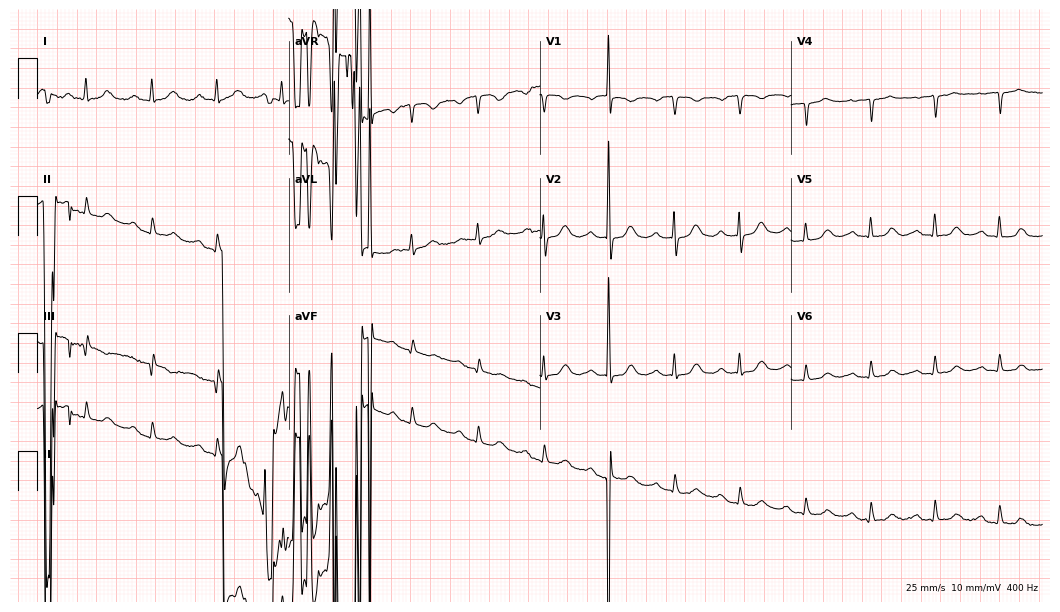
12-lead ECG from a 74-year-old female patient. Screened for six findings — first-degree AV block, right bundle branch block (RBBB), left bundle branch block (LBBB), sinus bradycardia, atrial fibrillation (AF), sinus tachycardia — none is recorded.